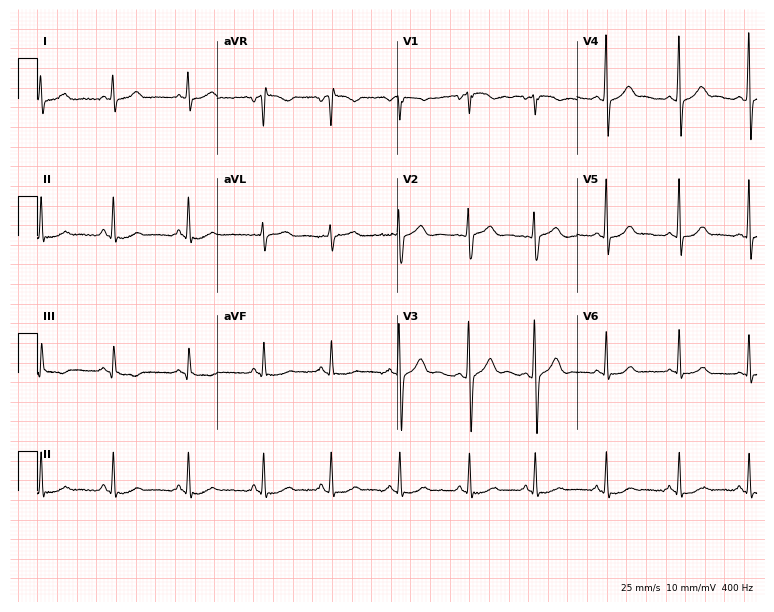
Electrocardiogram, a female, 18 years old. Of the six screened findings (first-degree AV block, right bundle branch block, left bundle branch block, sinus bradycardia, atrial fibrillation, sinus tachycardia), none is recorded.